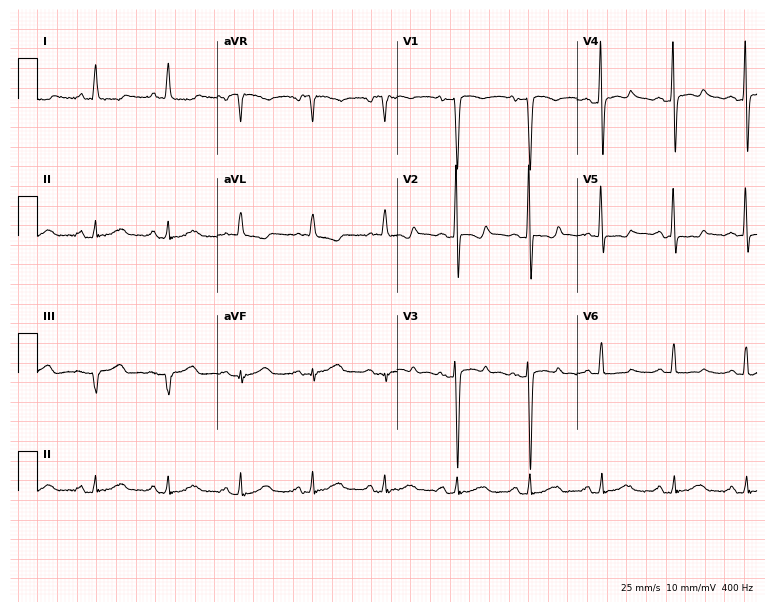
ECG (7.3-second recording at 400 Hz) — a female, 62 years old. Screened for six findings — first-degree AV block, right bundle branch block, left bundle branch block, sinus bradycardia, atrial fibrillation, sinus tachycardia — none is recorded.